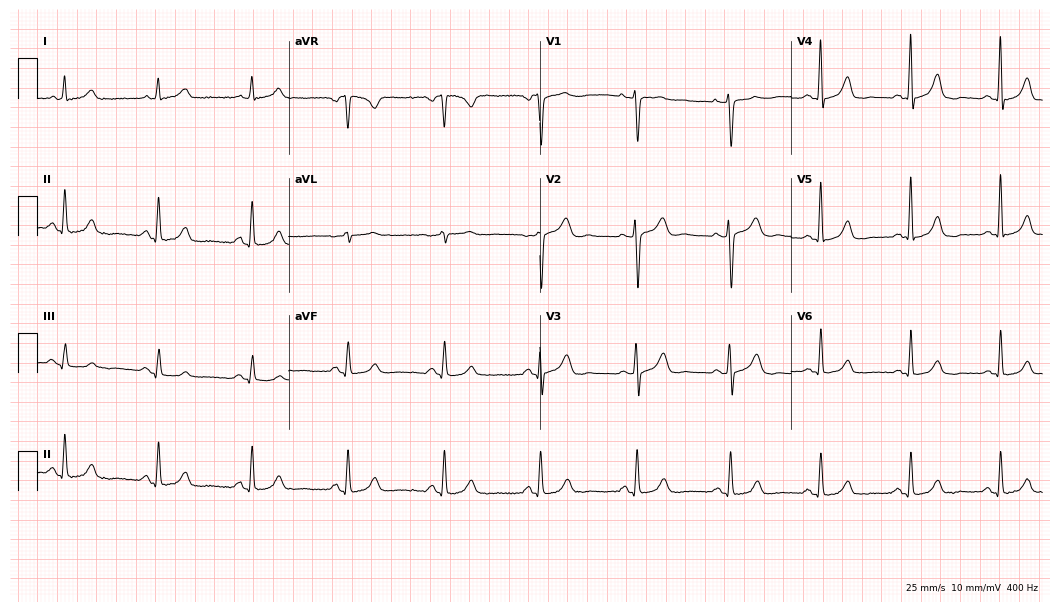
Electrocardiogram (10.2-second recording at 400 Hz), a woman, 38 years old. Overall reading on record: normal ECG.